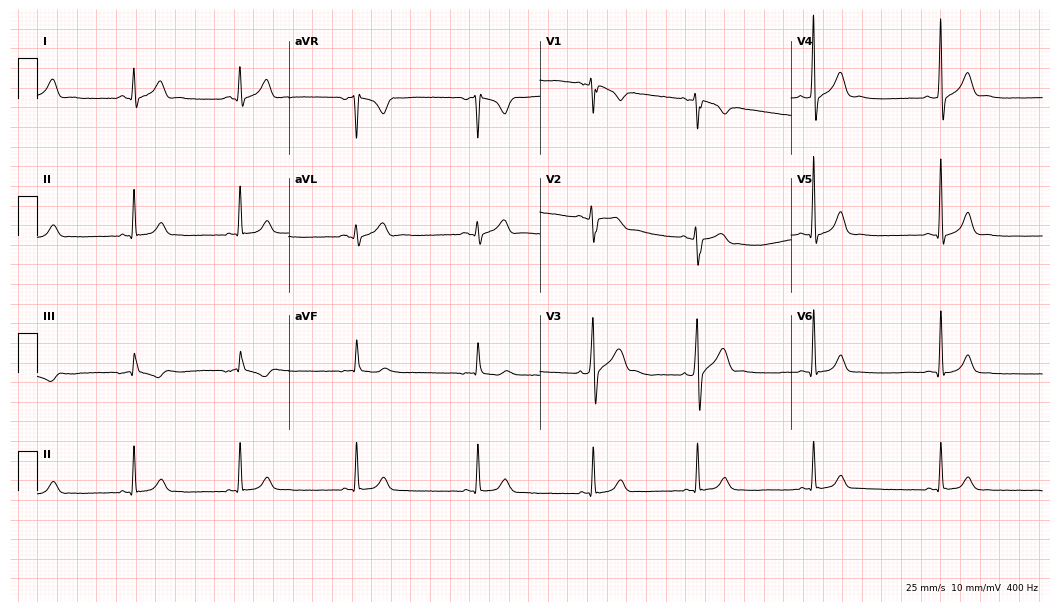
Standard 12-lead ECG recorded from a 26-year-old man (10.2-second recording at 400 Hz). None of these six findings is recorded: first-degree AV block, right bundle branch block, left bundle branch block, sinus bradycardia, atrial fibrillation, sinus tachycardia.